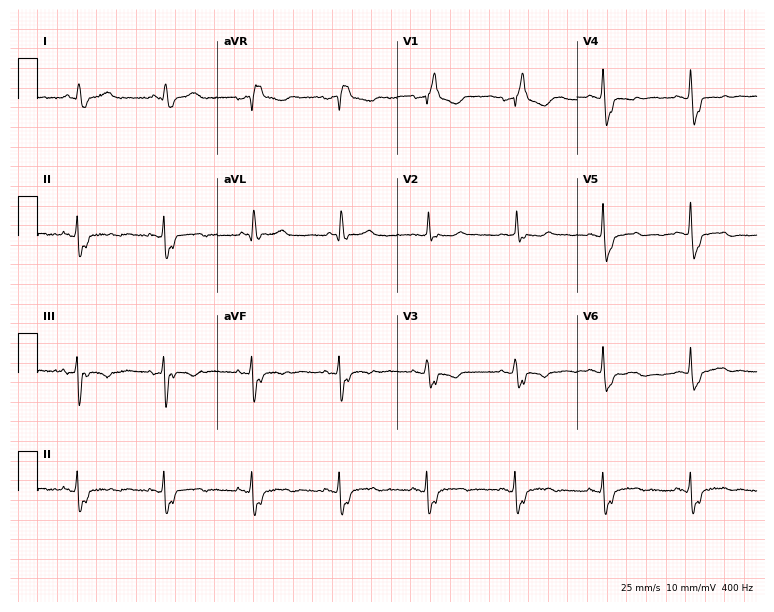
Standard 12-lead ECG recorded from a male, 85 years old (7.3-second recording at 400 Hz). None of these six findings is recorded: first-degree AV block, right bundle branch block, left bundle branch block, sinus bradycardia, atrial fibrillation, sinus tachycardia. Other findings, if any, are not listed.